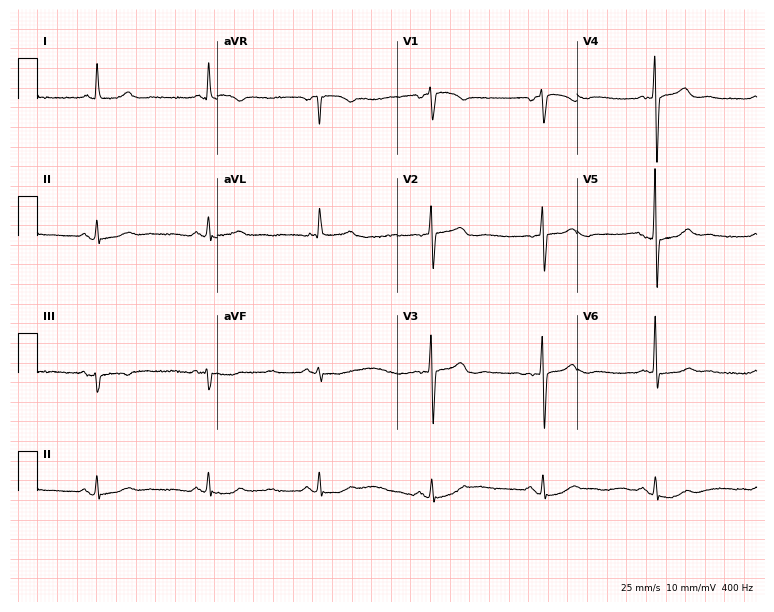
12-lead ECG from a male, 83 years old. Screened for six findings — first-degree AV block, right bundle branch block, left bundle branch block, sinus bradycardia, atrial fibrillation, sinus tachycardia — none is recorded.